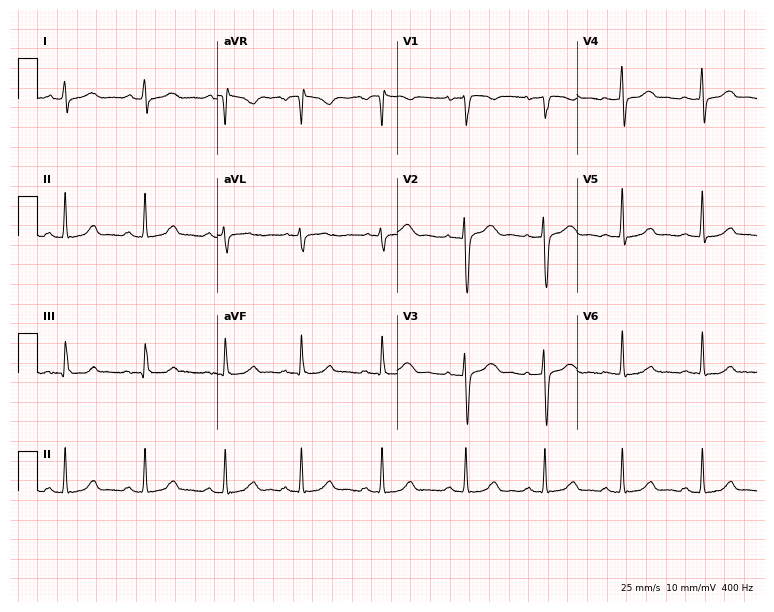
Resting 12-lead electrocardiogram (7.3-second recording at 400 Hz). Patient: a female, 45 years old. Read as a normal ECG.